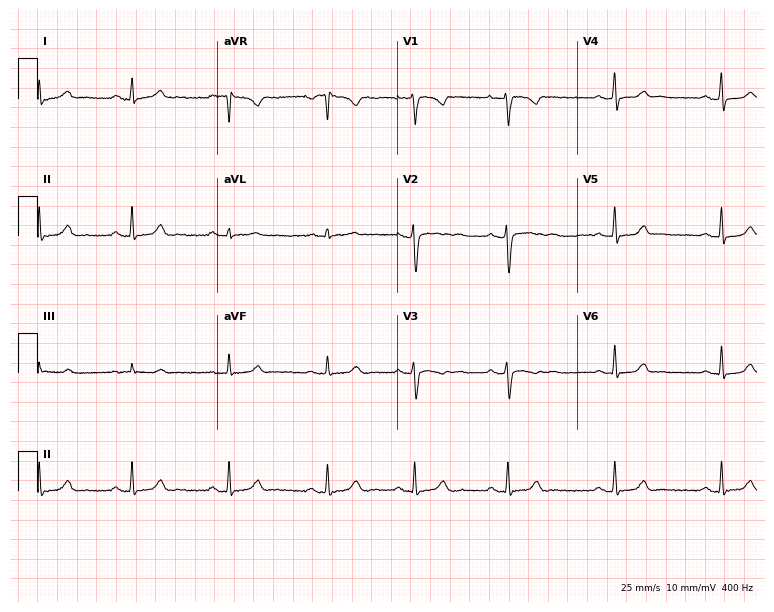
12-lead ECG from a female patient, 22 years old (7.3-second recording at 400 Hz). No first-degree AV block, right bundle branch block, left bundle branch block, sinus bradycardia, atrial fibrillation or sinus tachycardia recorded for this tracing. Other findings, if any, are not listed.